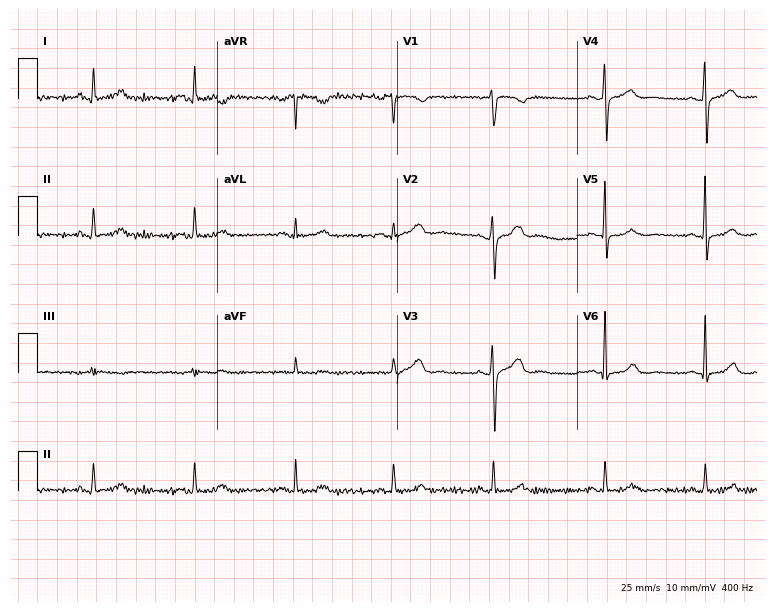
Standard 12-lead ECG recorded from a female, 41 years old. None of these six findings is recorded: first-degree AV block, right bundle branch block, left bundle branch block, sinus bradycardia, atrial fibrillation, sinus tachycardia. Other findings, if any, are not listed.